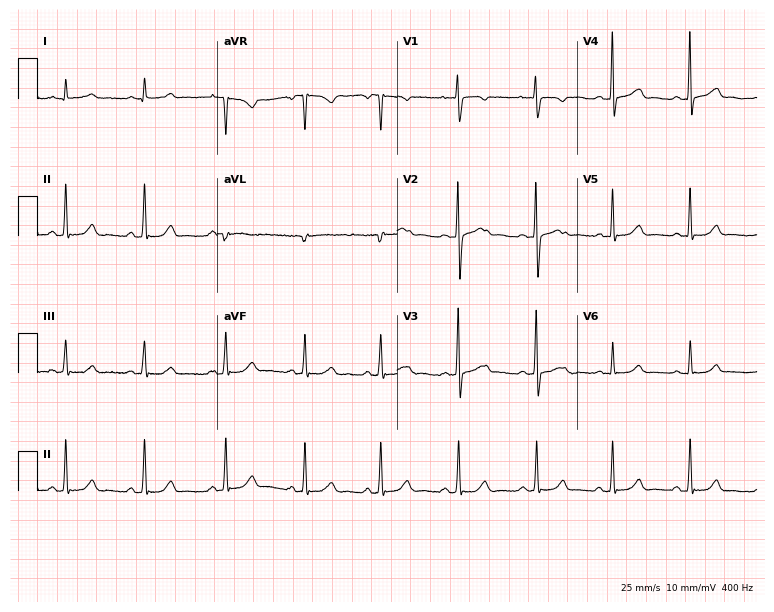
Standard 12-lead ECG recorded from a female patient, 49 years old. Read as a normal ECG.